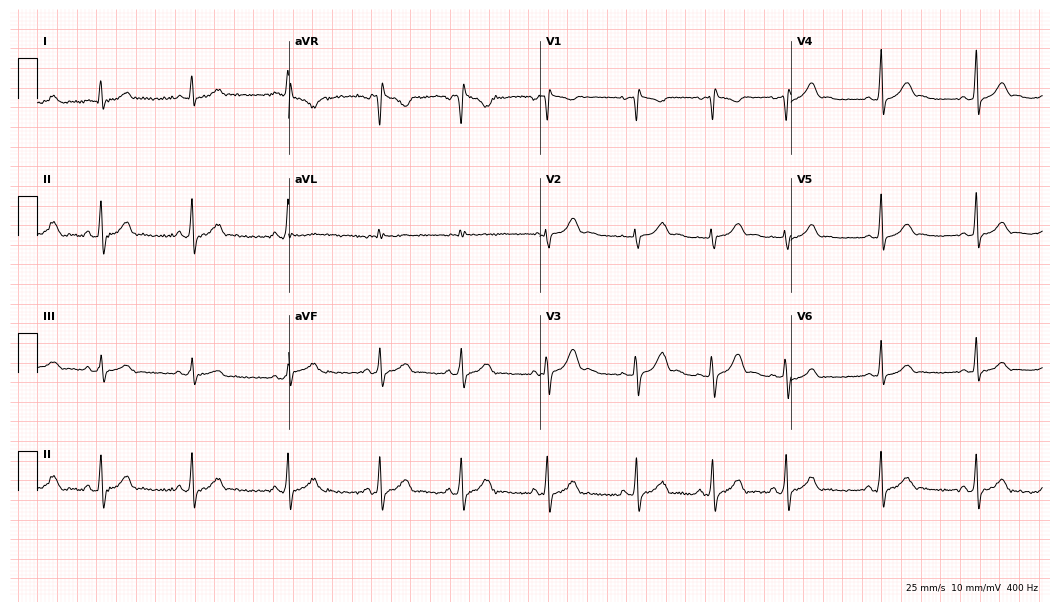
Standard 12-lead ECG recorded from a 21-year-old woman (10.2-second recording at 400 Hz). Read as a normal ECG.